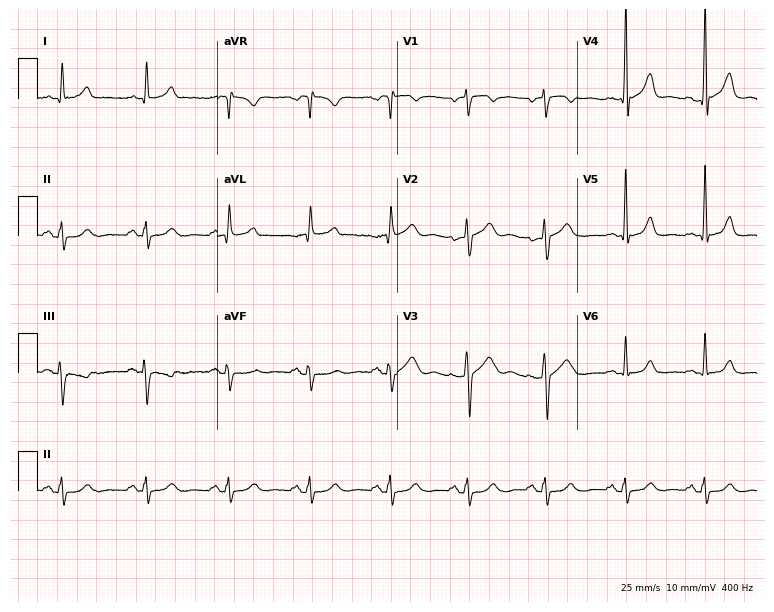
12-lead ECG from a man, 45 years old. Labelled as a normal ECG.